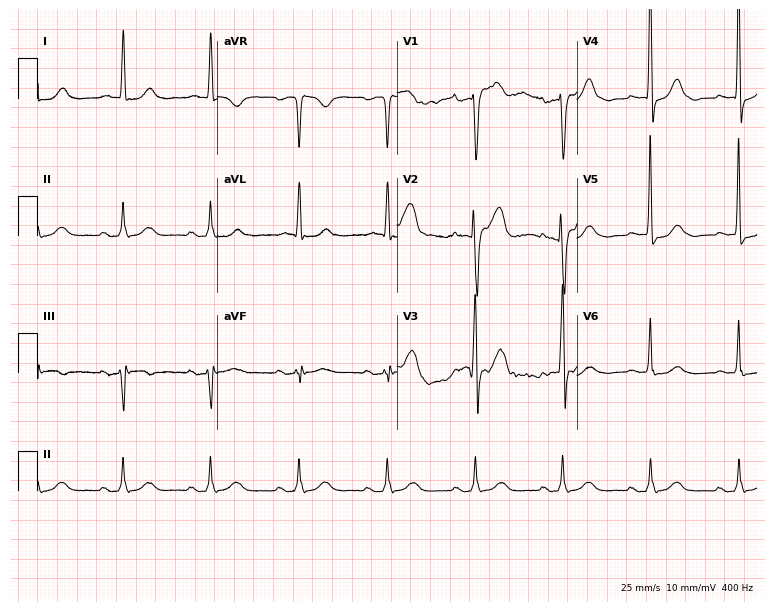
Resting 12-lead electrocardiogram (7.3-second recording at 400 Hz). Patient: an 82-year-old male. Read as a normal ECG.